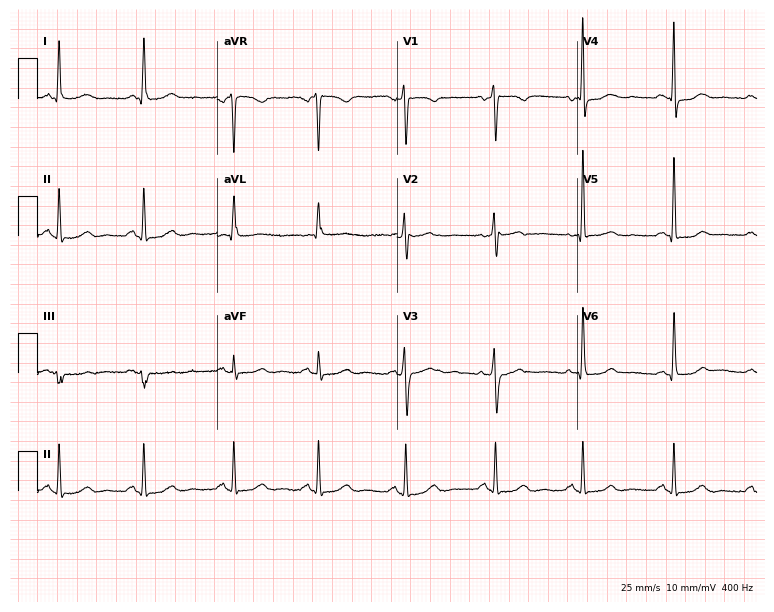
Standard 12-lead ECG recorded from a 57-year-old female. None of these six findings is recorded: first-degree AV block, right bundle branch block, left bundle branch block, sinus bradycardia, atrial fibrillation, sinus tachycardia.